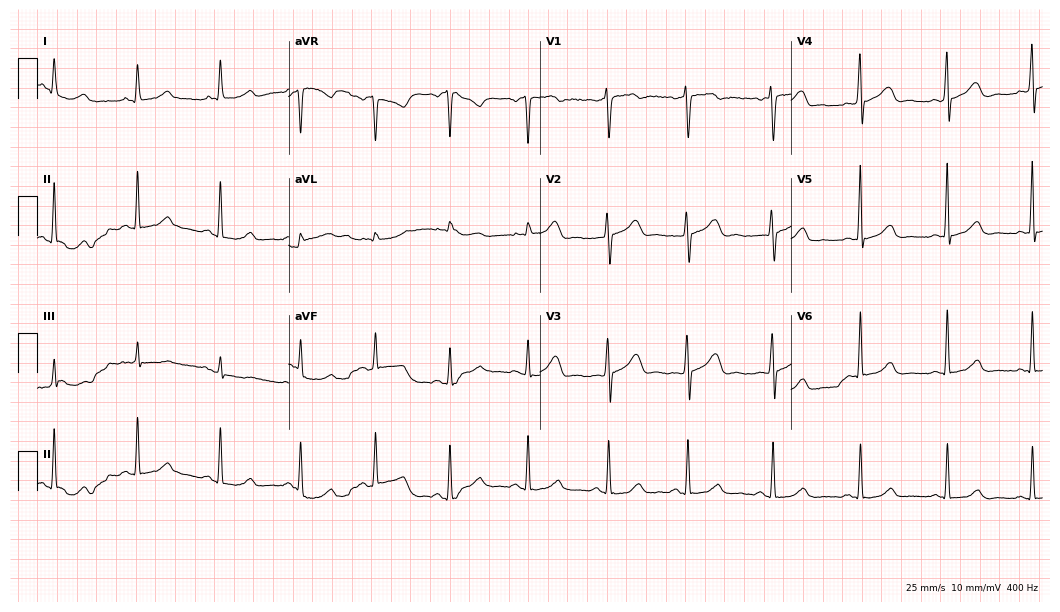
12-lead ECG from a woman, 44 years old (10.2-second recording at 400 Hz). Recorded interpretation: within normal limits.